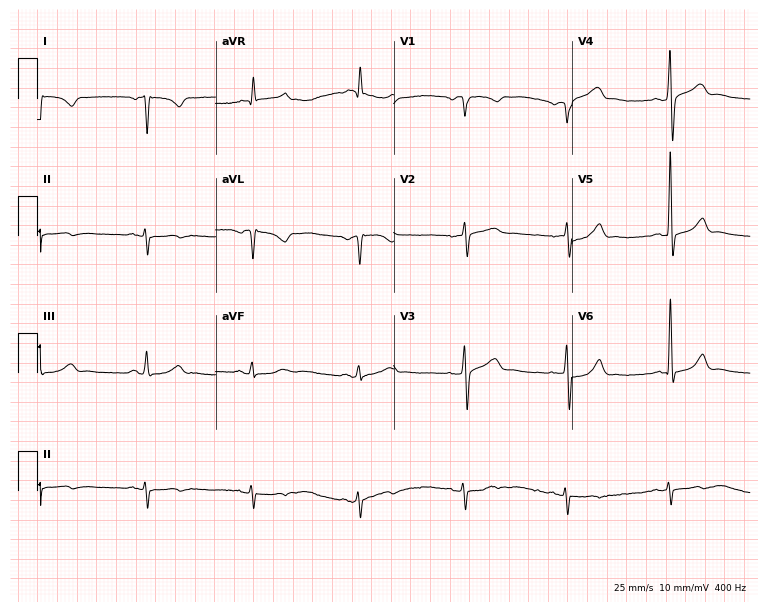
Standard 12-lead ECG recorded from a male patient, 71 years old. None of these six findings is recorded: first-degree AV block, right bundle branch block, left bundle branch block, sinus bradycardia, atrial fibrillation, sinus tachycardia.